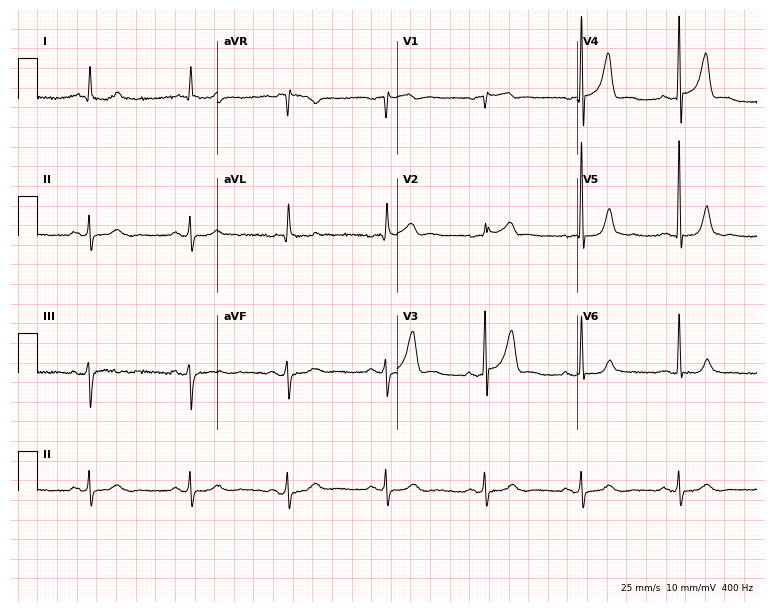
12-lead ECG from a 70-year-old man. Labelled as a normal ECG.